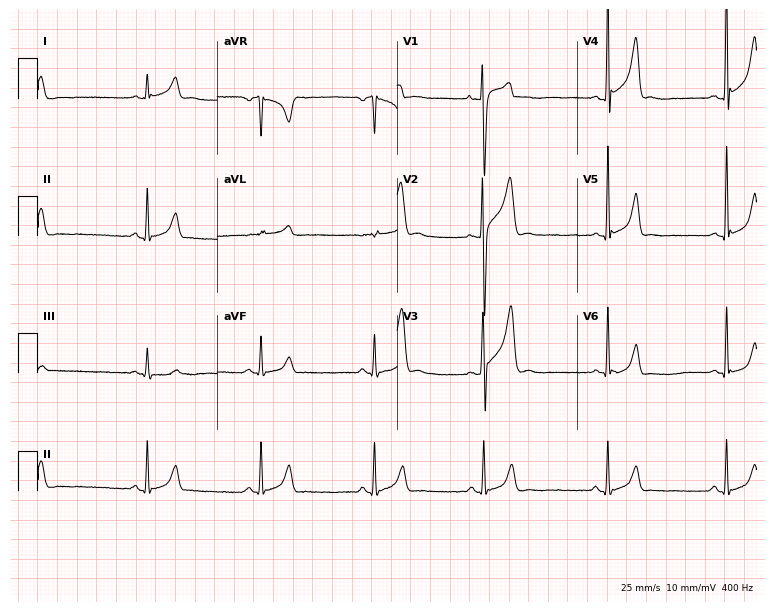
12-lead ECG from a 26-year-old male patient. Recorded interpretation: within normal limits.